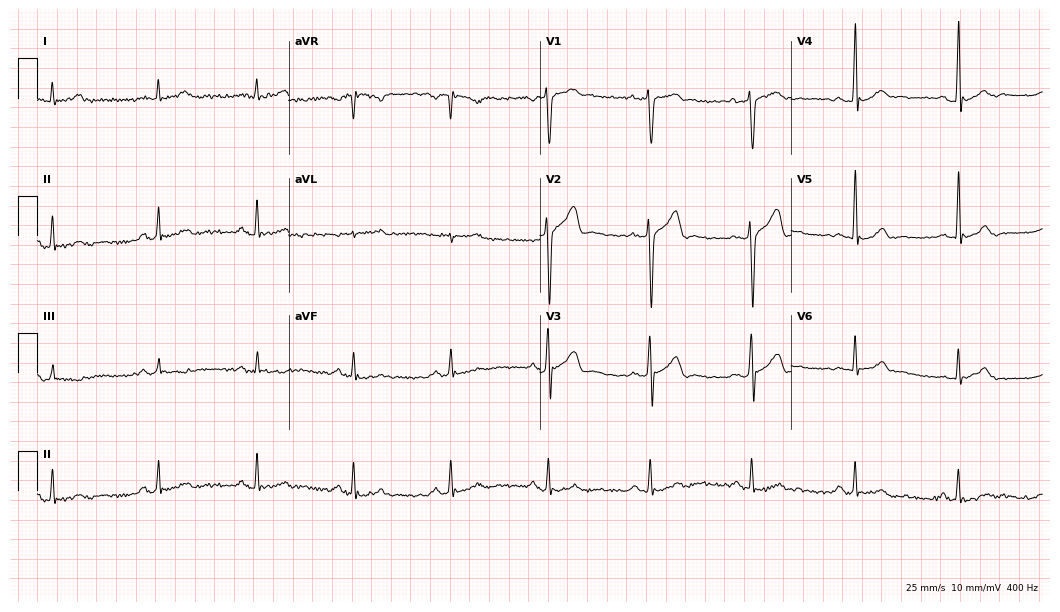
Standard 12-lead ECG recorded from a male, 36 years old. Read as a normal ECG.